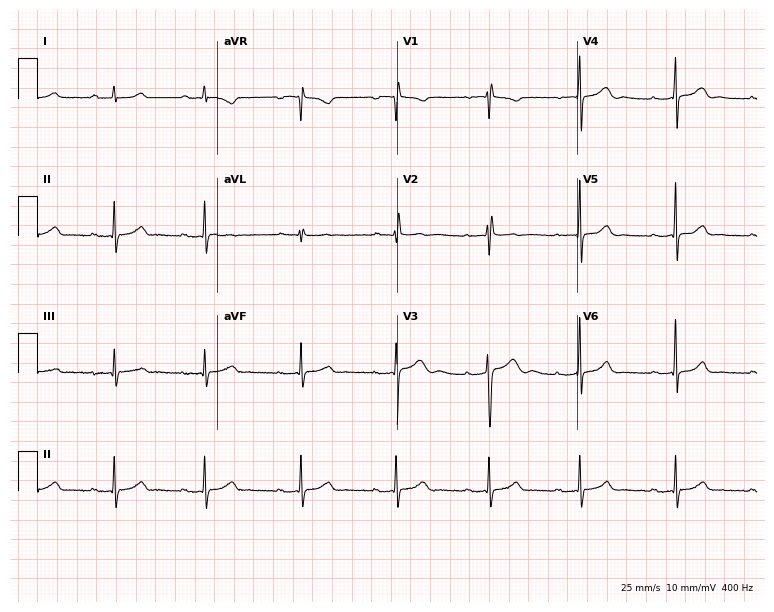
12-lead ECG from a 37-year-old female. No first-degree AV block, right bundle branch block, left bundle branch block, sinus bradycardia, atrial fibrillation or sinus tachycardia recorded for this tracing.